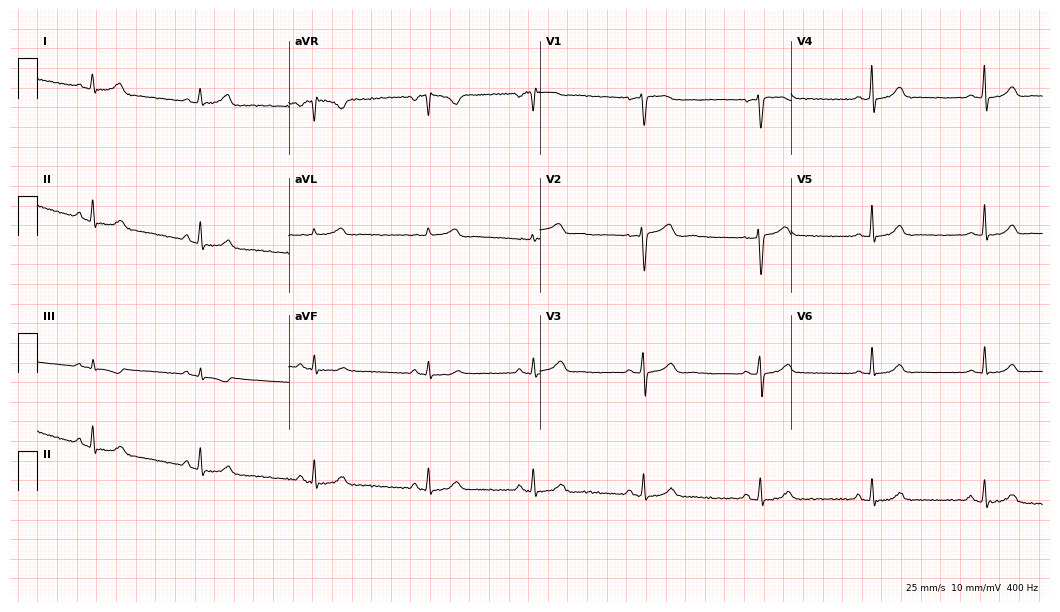
ECG — a 45-year-old female. Labelled as a normal ECG.